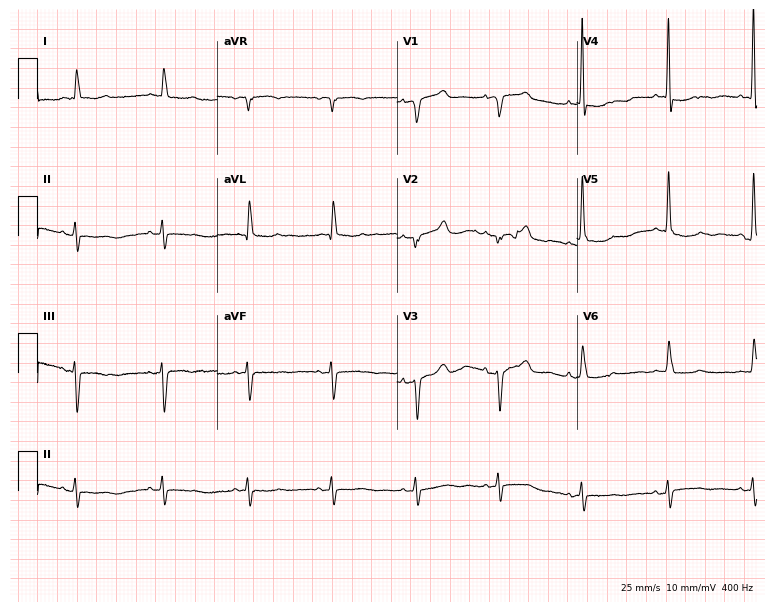
ECG — an 81-year-old female patient. Screened for six findings — first-degree AV block, right bundle branch block, left bundle branch block, sinus bradycardia, atrial fibrillation, sinus tachycardia — none is recorded.